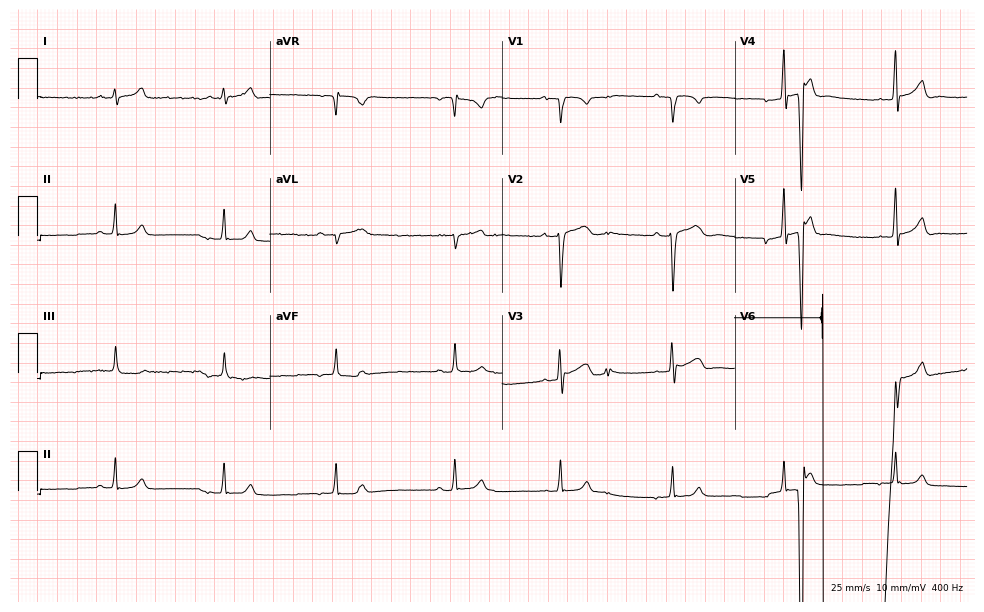
Resting 12-lead electrocardiogram. Patient: a man, 21 years old. None of these six findings is recorded: first-degree AV block, right bundle branch block, left bundle branch block, sinus bradycardia, atrial fibrillation, sinus tachycardia. Findings outside these six are not listed.